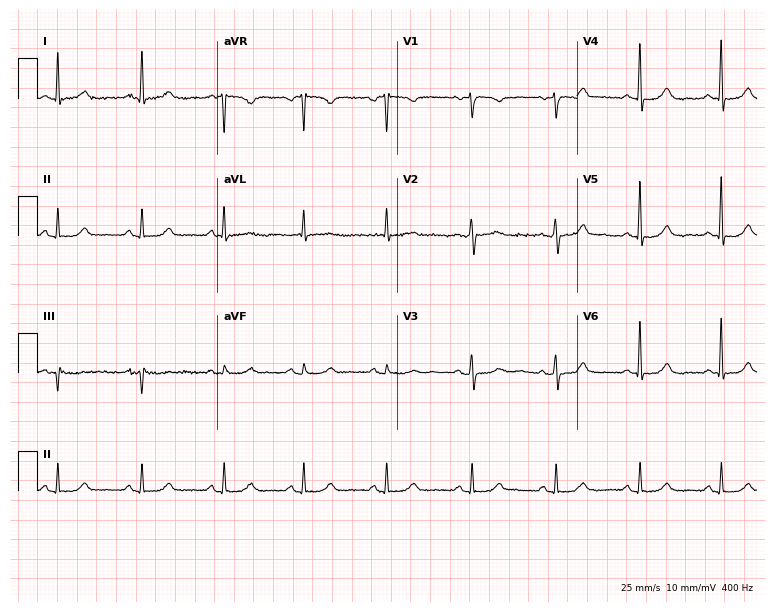
12-lead ECG from a female patient, 67 years old. Labelled as a normal ECG.